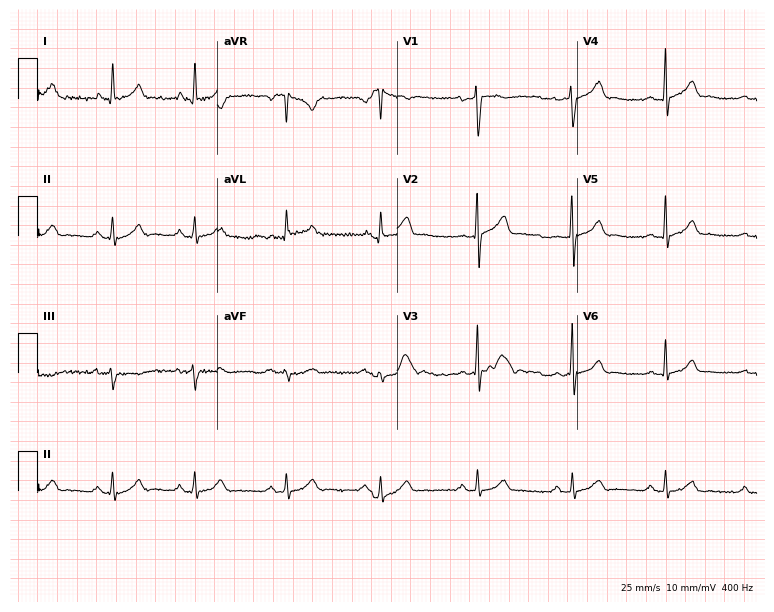
ECG — a 39-year-old man. Labelled as a normal ECG.